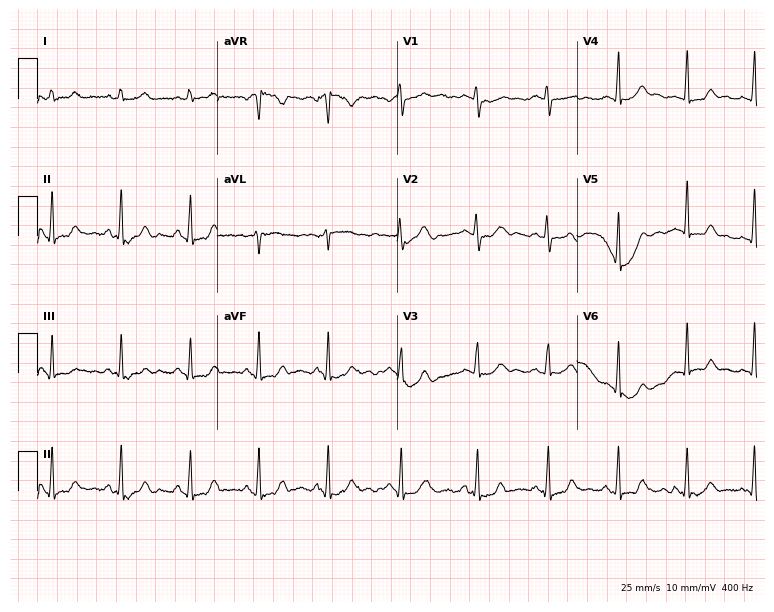
12-lead ECG from a female patient, 24 years old. Recorded interpretation: within normal limits.